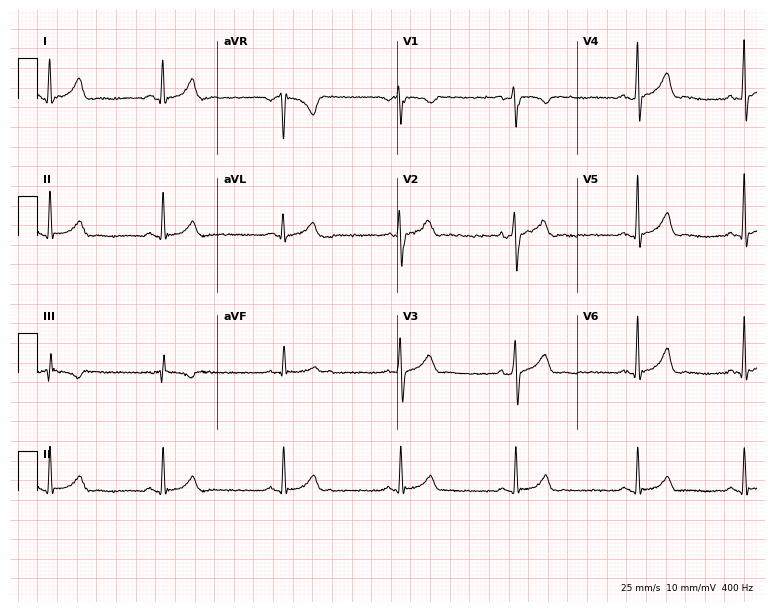
Standard 12-lead ECG recorded from a 24-year-old male patient. Read as a normal ECG.